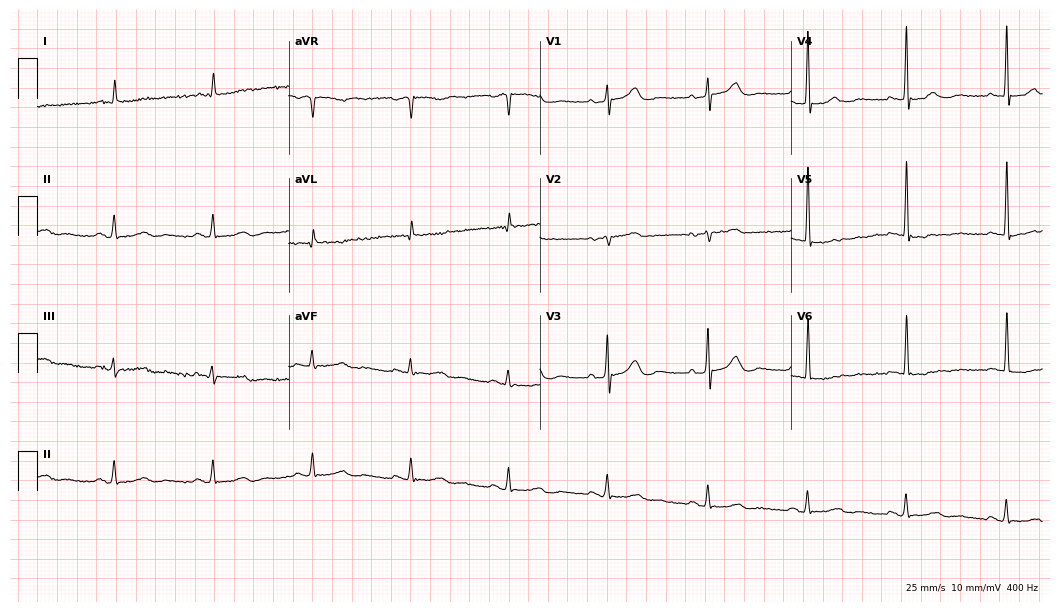
12-lead ECG from an 81-year-old man. No first-degree AV block, right bundle branch block (RBBB), left bundle branch block (LBBB), sinus bradycardia, atrial fibrillation (AF) or sinus tachycardia recorded for this tracing.